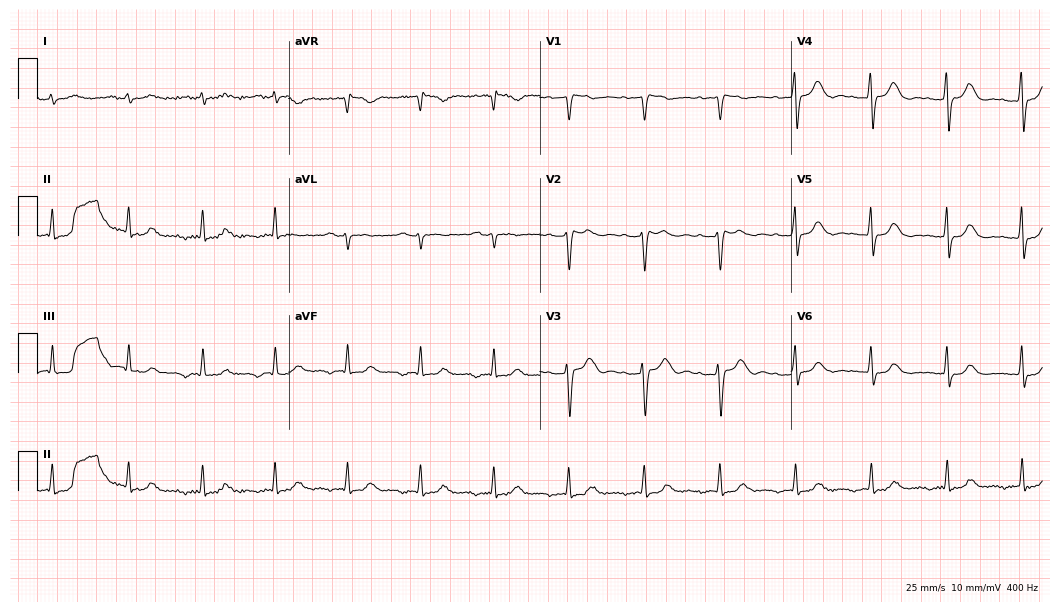
Resting 12-lead electrocardiogram (10.2-second recording at 400 Hz). Patient: a 74-year-old man. Read as a normal ECG.